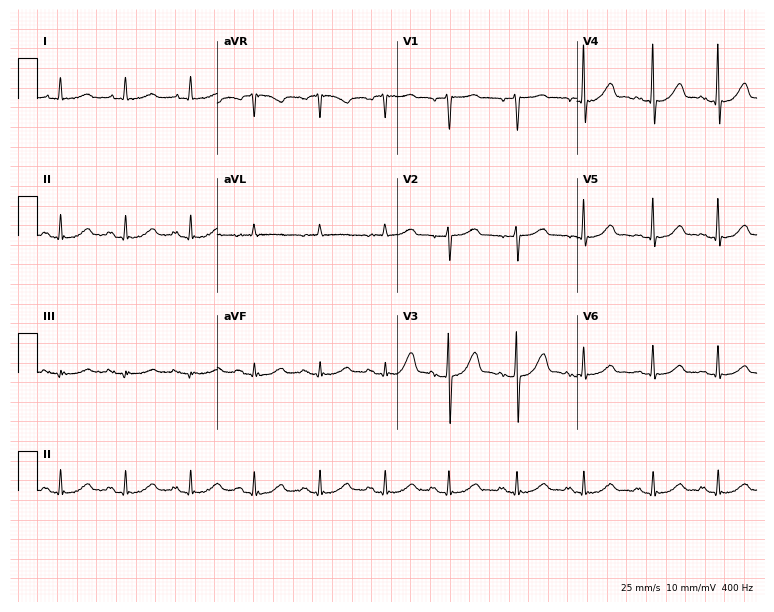
12-lead ECG from a female, 80 years old. Recorded interpretation: within normal limits.